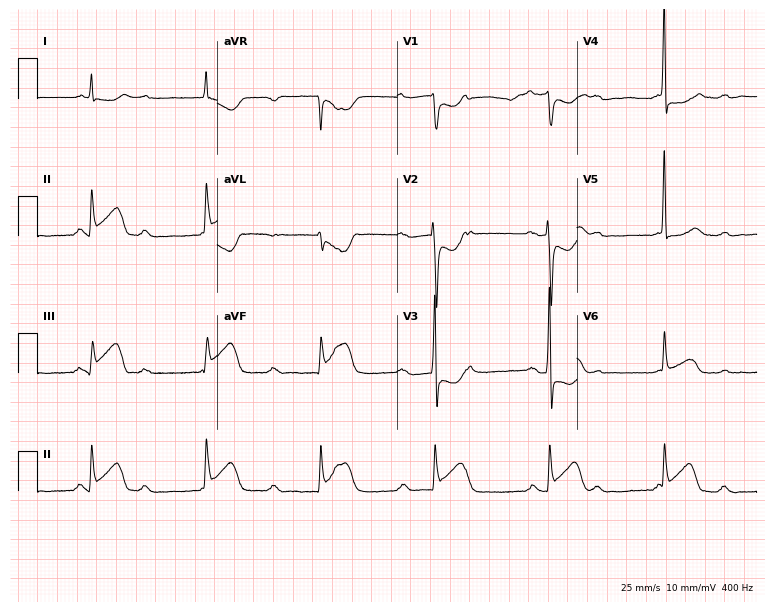
12-lead ECG (7.3-second recording at 400 Hz) from a male patient, 50 years old. Screened for six findings — first-degree AV block, right bundle branch block, left bundle branch block, sinus bradycardia, atrial fibrillation, sinus tachycardia — none is recorded.